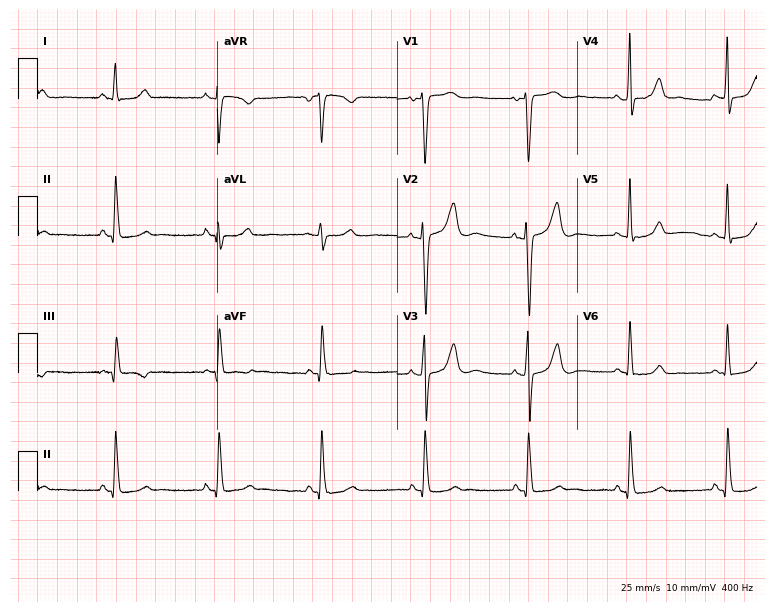
12-lead ECG from a 50-year-old woman. Screened for six findings — first-degree AV block, right bundle branch block, left bundle branch block, sinus bradycardia, atrial fibrillation, sinus tachycardia — none is recorded. Only these six findings were labelled.